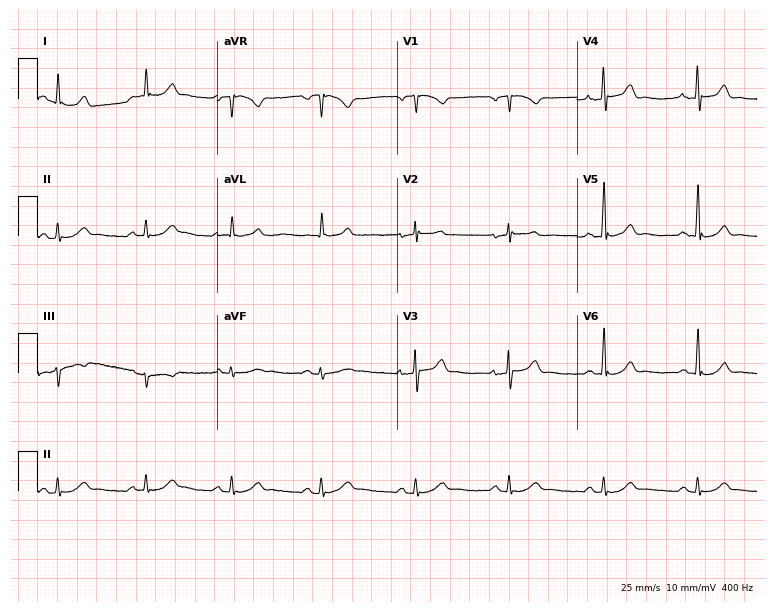
ECG — a 51-year-old male patient. Screened for six findings — first-degree AV block, right bundle branch block (RBBB), left bundle branch block (LBBB), sinus bradycardia, atrial fibrillation (AF), sinus tachycardia — none is recorded. Findings outside these six are not listed.